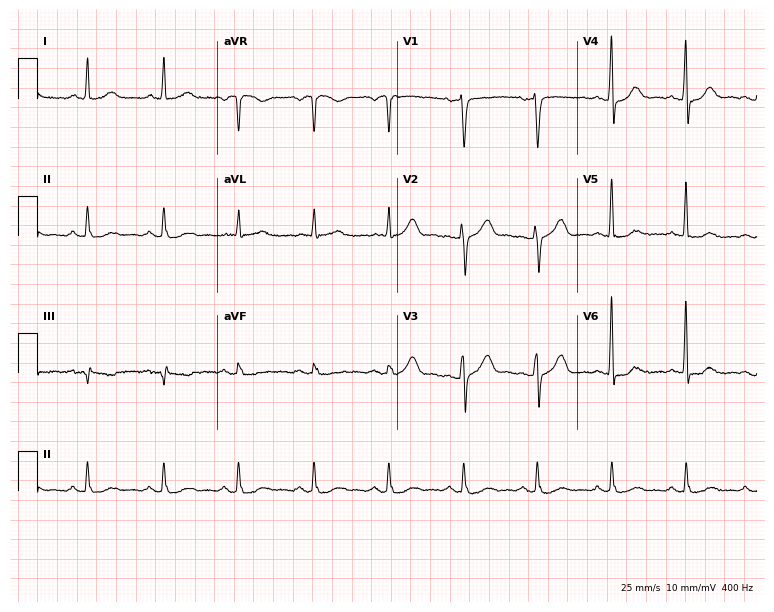
Resting 12-lead electrocardiogram. Patient: a woman, 61 years old. Read as a normal ECG.